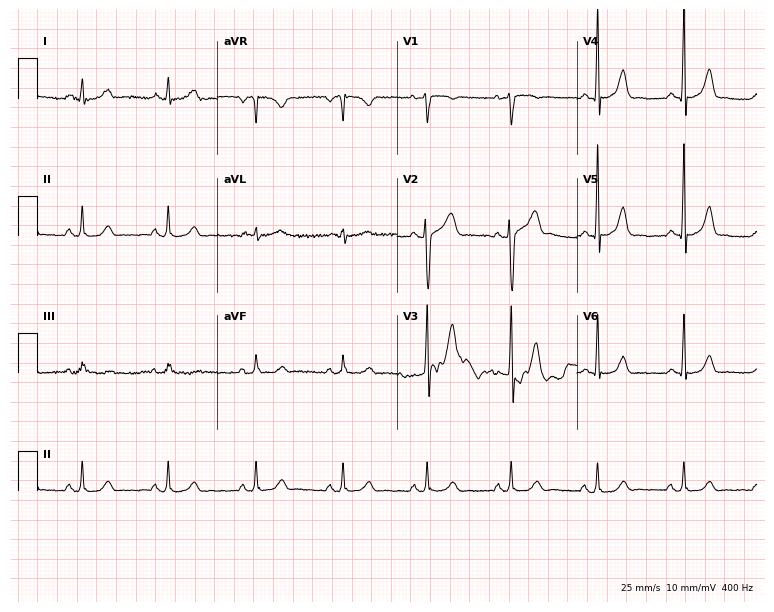
Standard 12-lead ECG recorded from a 53-year-old man (7.3-second recording at 400 Hz). Read as a normal ECG.